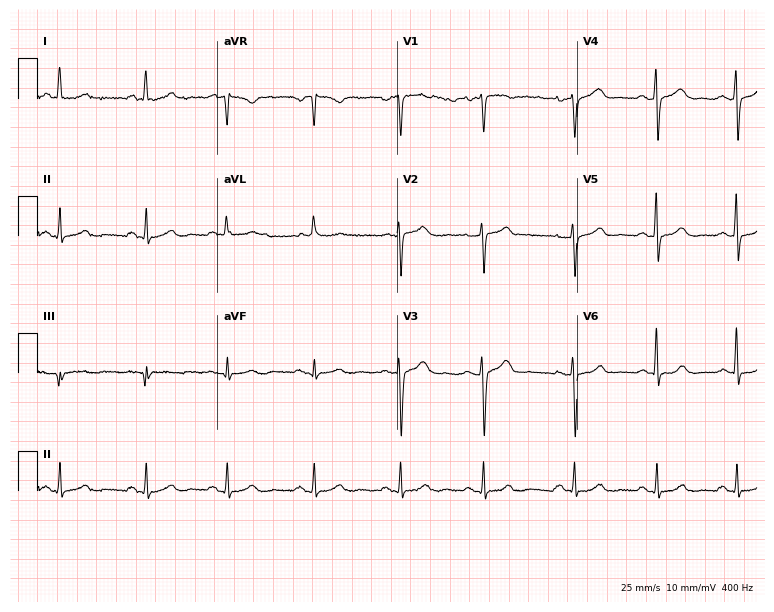
Electrocardiogram (7.3-second recording at 400 Hz), a female patient, 48 years old. Overall reading on record: normal ECG.